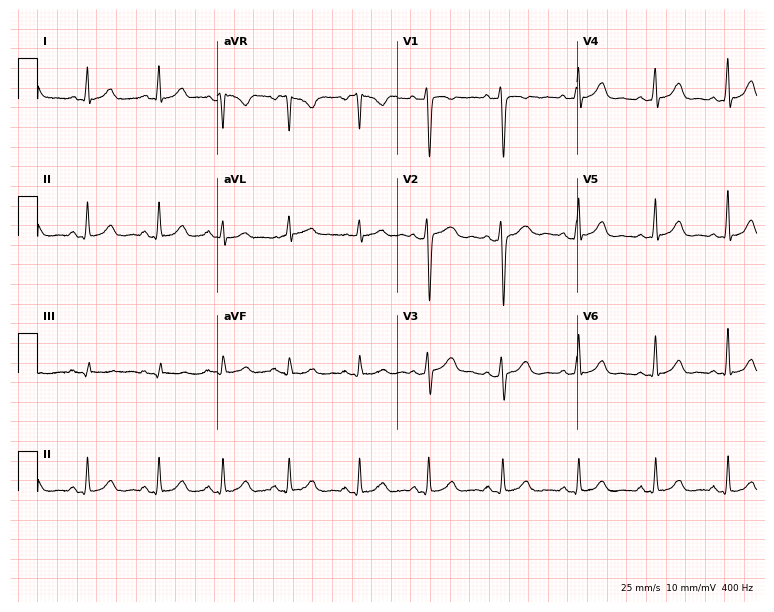
12-lead ECG from a 23-year-old female. Labelled as a normal ECG.